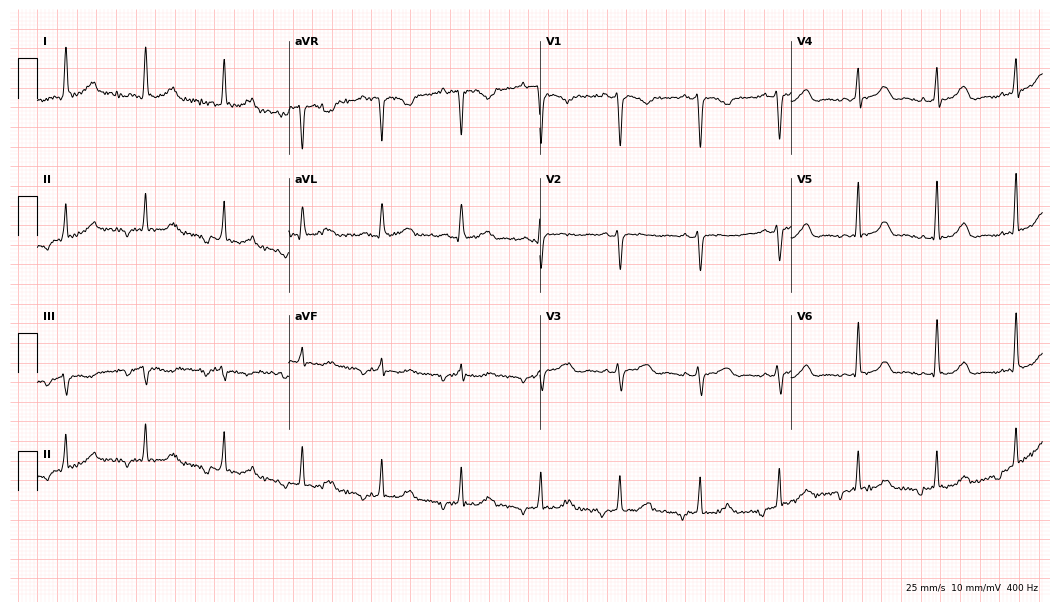
Electrocardiogram (10.2-second recording at 400 Hz), a woman, 40 years old. Of the six screened findings (first-degree AV block, right bundle branch block, left bundle branch block, sinus bradycardia, atrial fibrillation, sinus tachycardia), none is recorded.